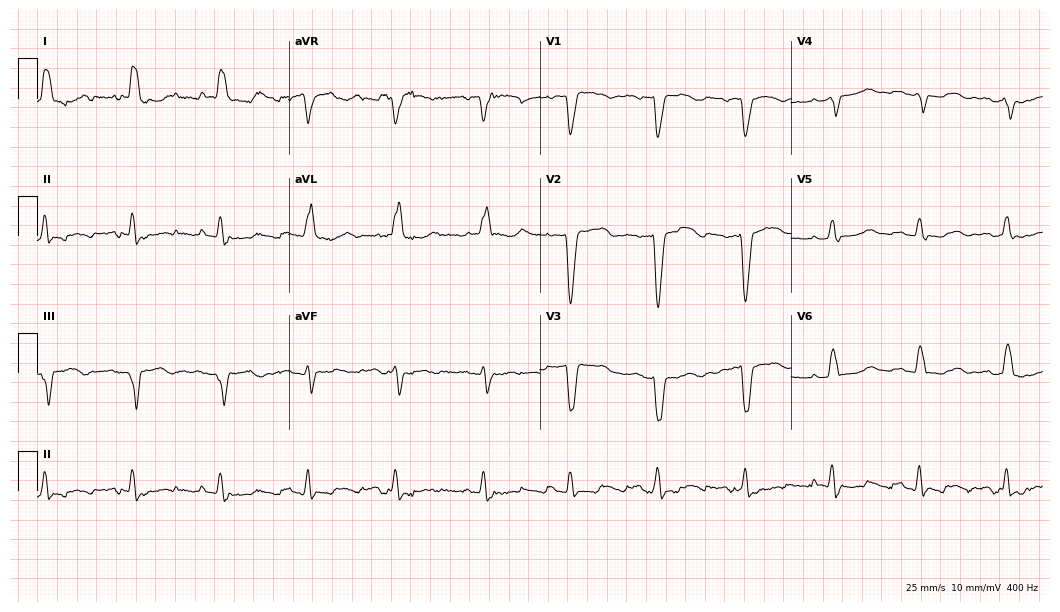
Resting 12-lead electrocardiogram. Patient: a 76-year-old woman. The tracing shows left bundle branch block.